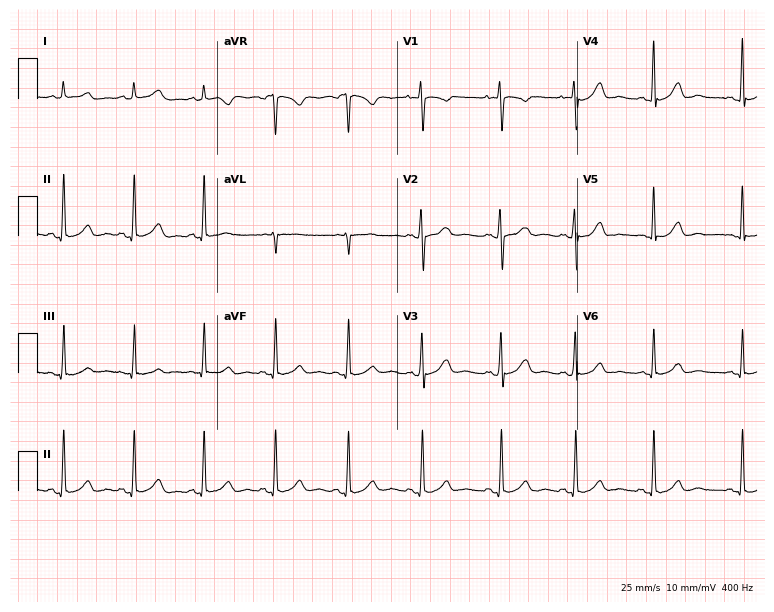
Standard 12-lead ECG recorded from a woman, 19 years old. Read as a normal ECG.